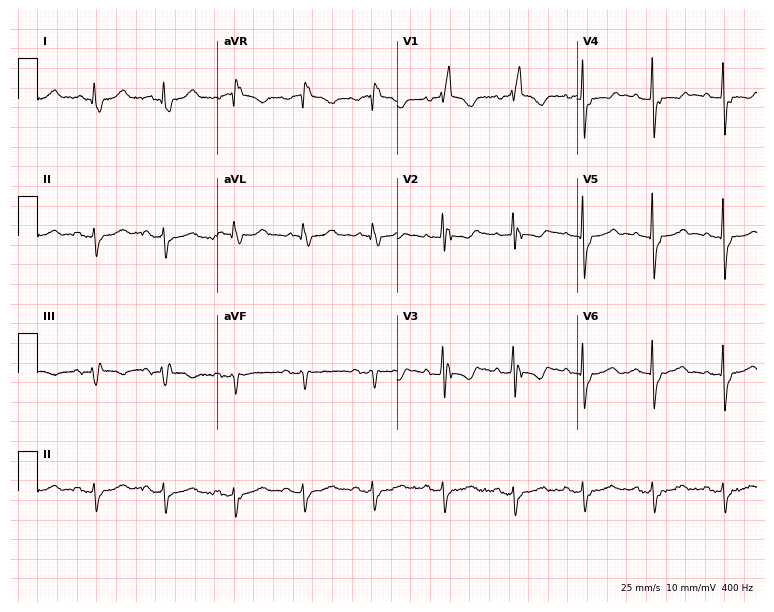
Electrocardiogram (7.3-second recording at 400 Hz), an 82-year-old female. Interpretation includes right bundle branch block.